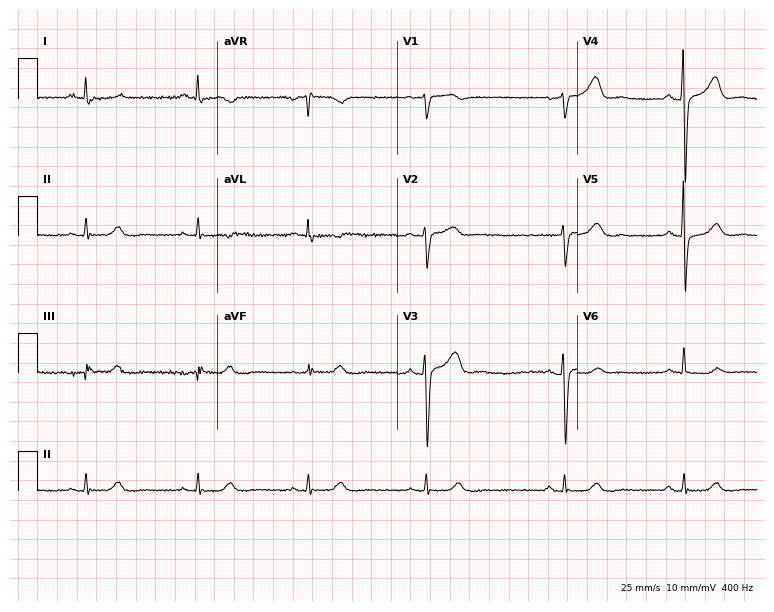
ECG — a woman, 54 years old. Screened for six findings — first-degree AV block, right bundle branch block, left bundle branch block, sinus bradycardia, atrial fibrillation, sinus tachycardia — none is recorded. Other findings, if any, are not listed.